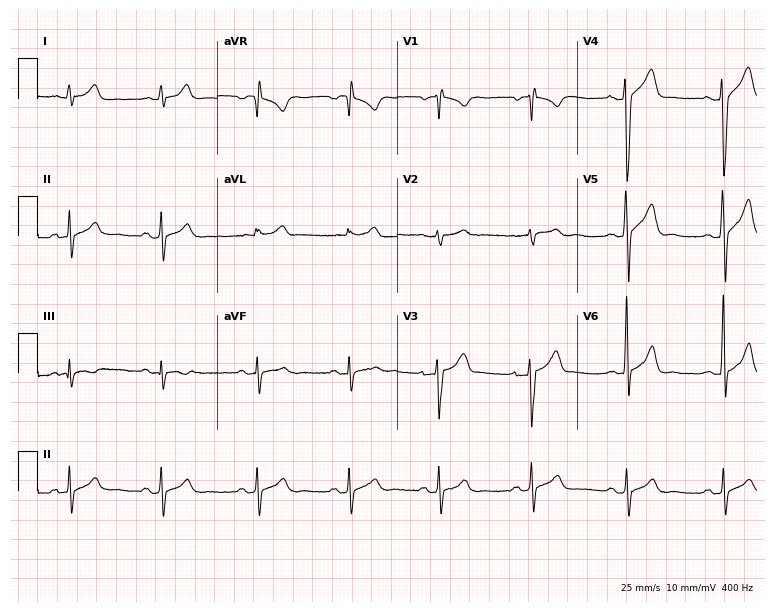
Standard 12-lead ECG recorded from a male, 32 years old (7.3-second recording at 400 Hz). None of these six findings is recorded: first-degree AV block, right bundle branch block (RBBB), left bundle branch block (LBBB), sinus bradycardia, atrial fibrillation (AF), sinus tachycardia.